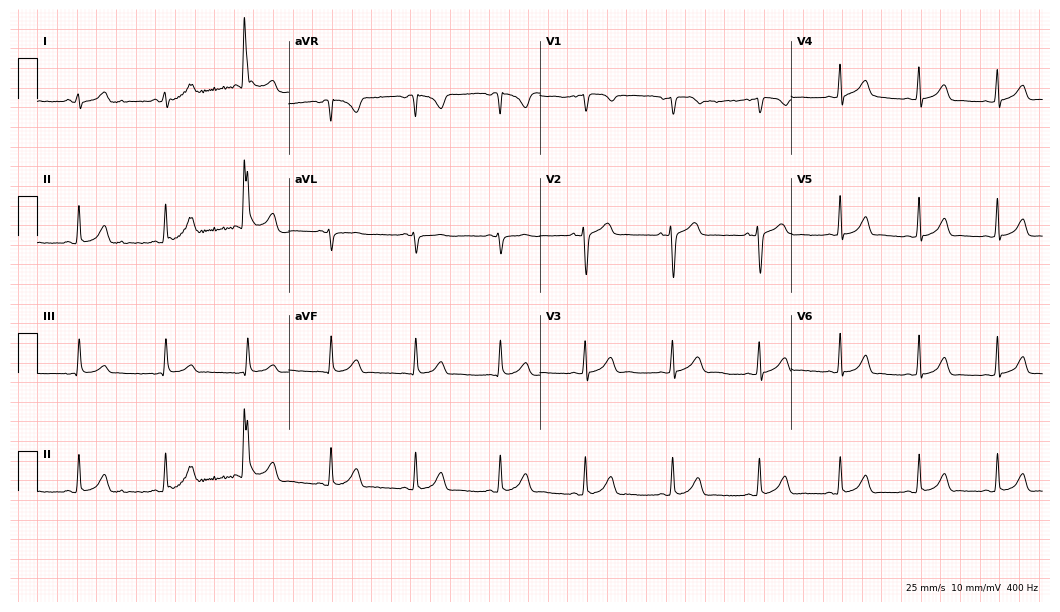
Electrocardiogram, a woman, 19 years old. Overall reading on record: normal ECG.